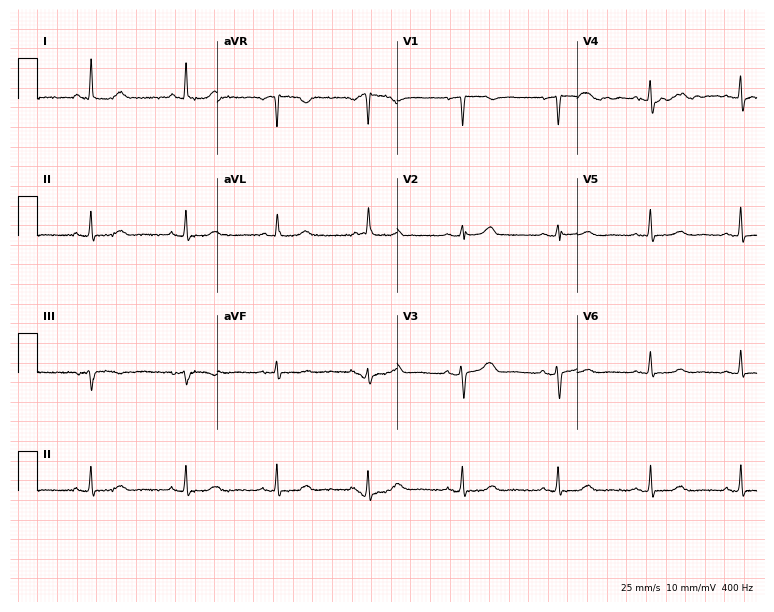
Standard 12-lead ECG recorded from a 63-year-old woman. None of these six findings is recorded: first-degree AV block, right bundle branch block (RBBB), left bundle branch block (LBBB), sinus bradycardia, atrial fibrillation (AF), sinus tachycardia.